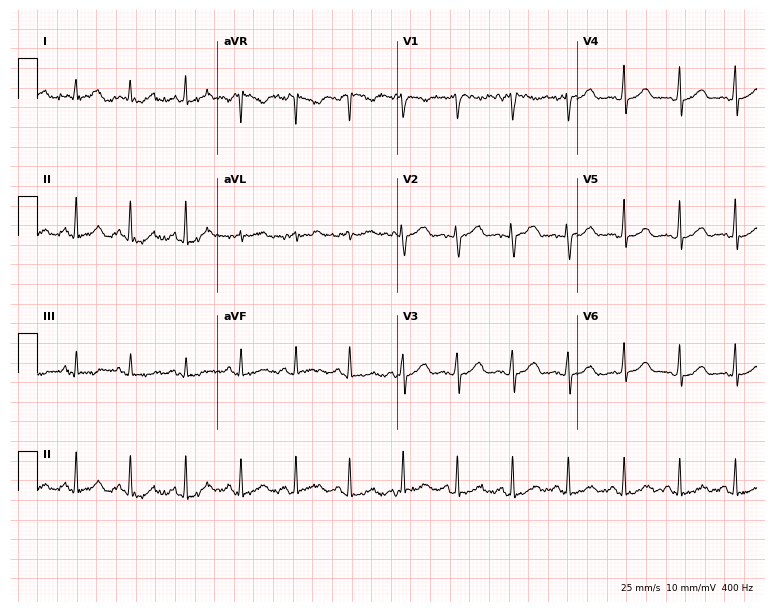
12-lead ECG from a 52-year-old female patient. Screened for six findings — first-degree AV block, right bundle branch block, left bundle branch block, sinus bradycardia, atrial fibrillation, sinus tachycardia — none is recorded. Findings outside these six are not listed.